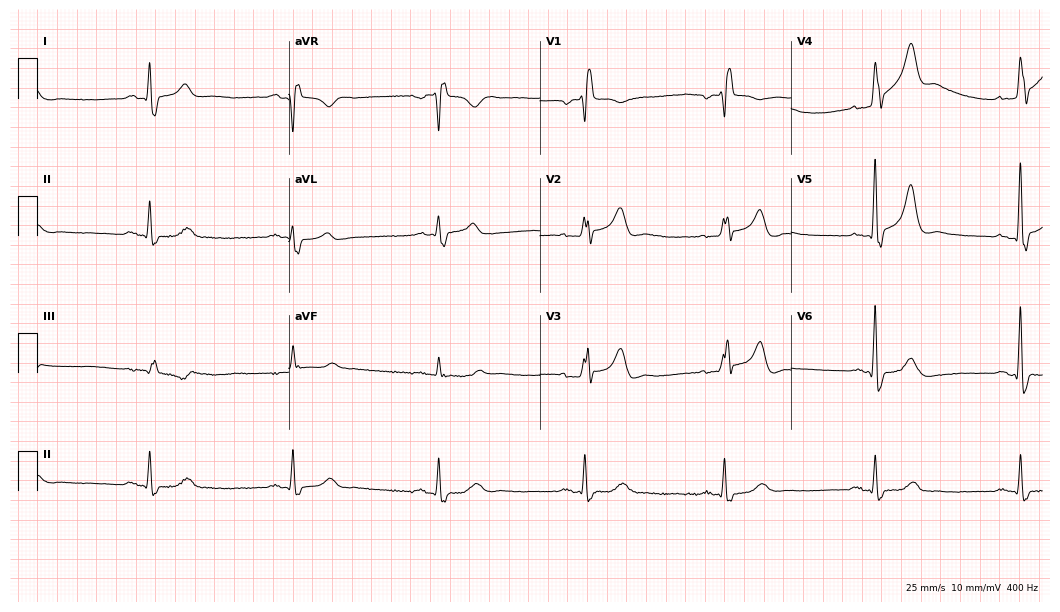
Standard 12-lead ECG recorded from a 67-year-old woman. The tracing shows right bundle branch block (RBBB), sinus bradycardia (a sinus rate of 50 beats per minute or less).